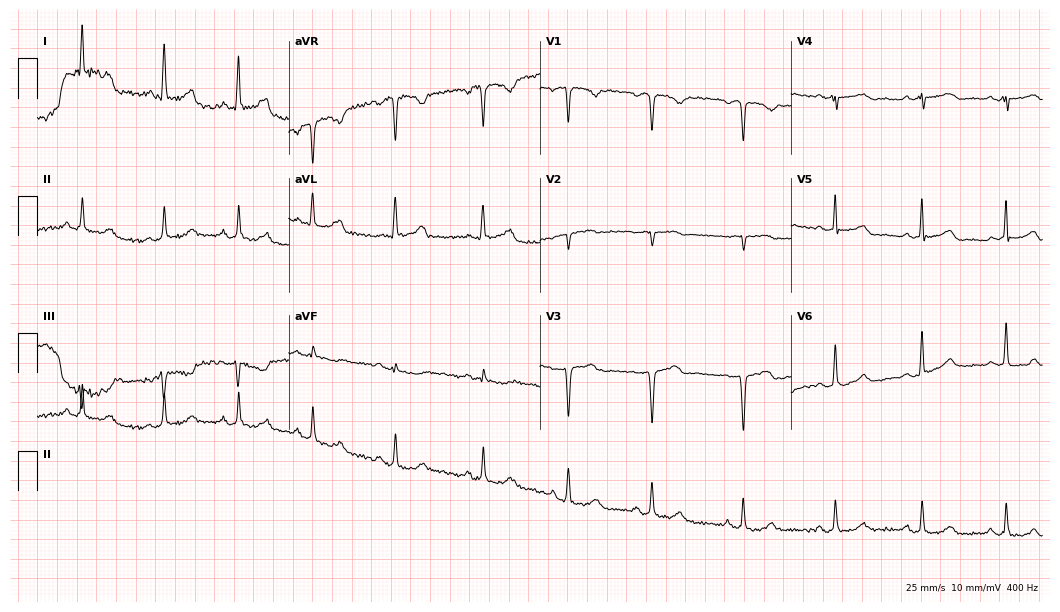
Standard 12-lead ECG recorded from a 51-year-old female patient (10.2-second recording at 400 Hz). None of these six findings is recorded: first-degree AV block, right bundle branch block (RBBB), left bundle branch block (LBBB), sinus bradycardia, atrial fibrillation (AF), sinus tachycardia. Other findings, if any, are not listed.